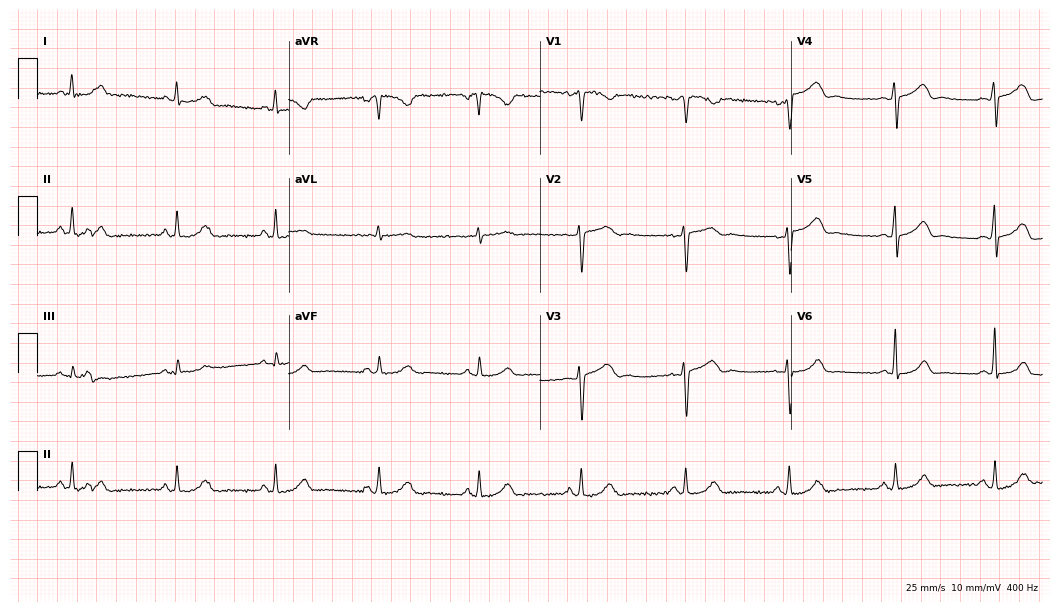
Resting 12-lead electrocardiogram (10.2-second recording at 400 Hz). Patient: a woman, 38 years old. Read as a normal ECG.